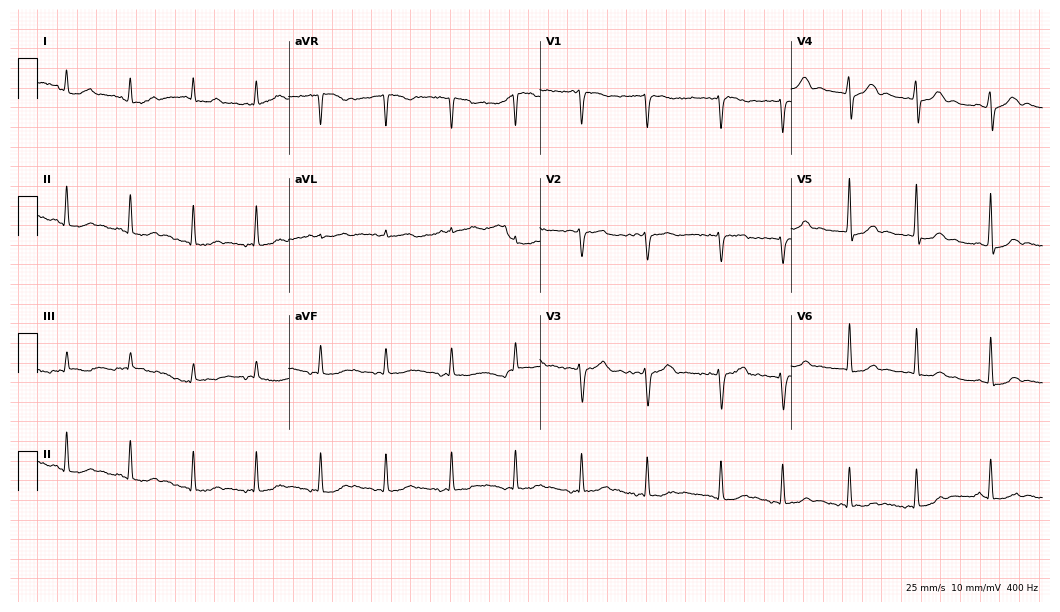
ECG — a female, 56 years old. Labelled as a normal ECG.